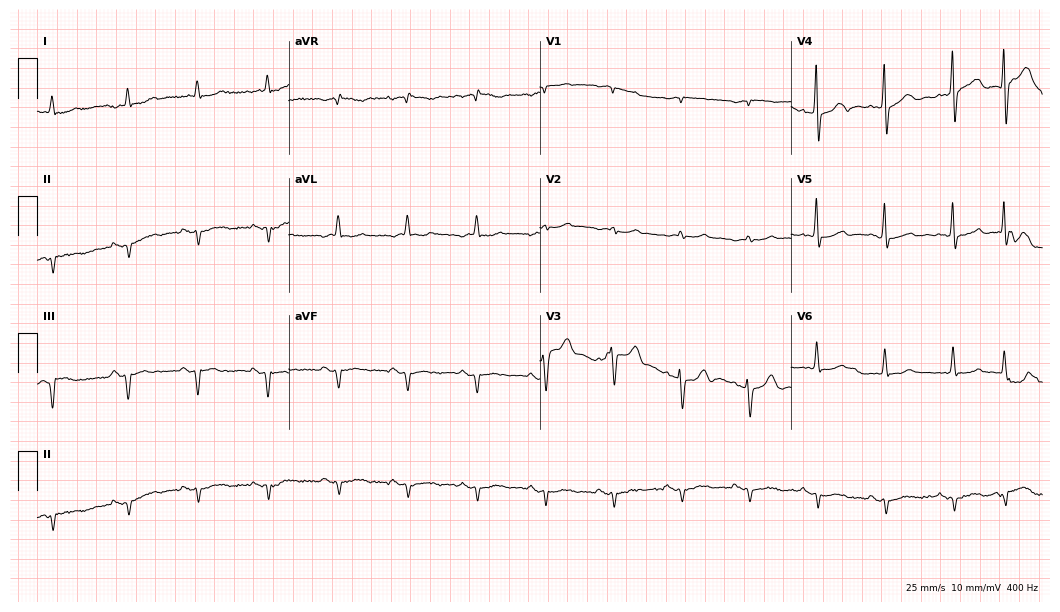
ECG — a man, 80 years old. Screened for six findings — first-degree AV block, right bundle branch block (RBBB), left bundle branch block (LBBB), sinus bradycardia, atrial fibrillation (AF), sinus tachycardia — none is recorded. Other findings, if any, are not listed.